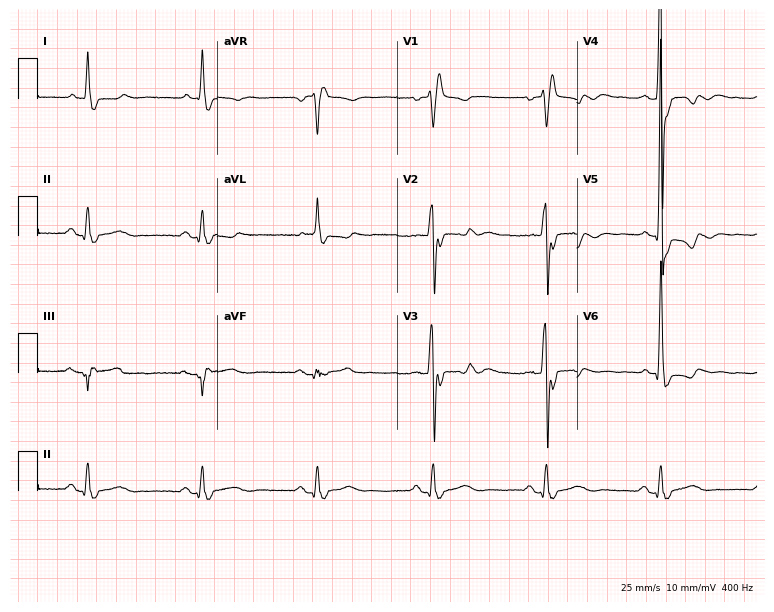
12-lead ECG (7.3-second recording at 400 Hz) from a male patient, 78 years old. Findings include right bundle branch block.